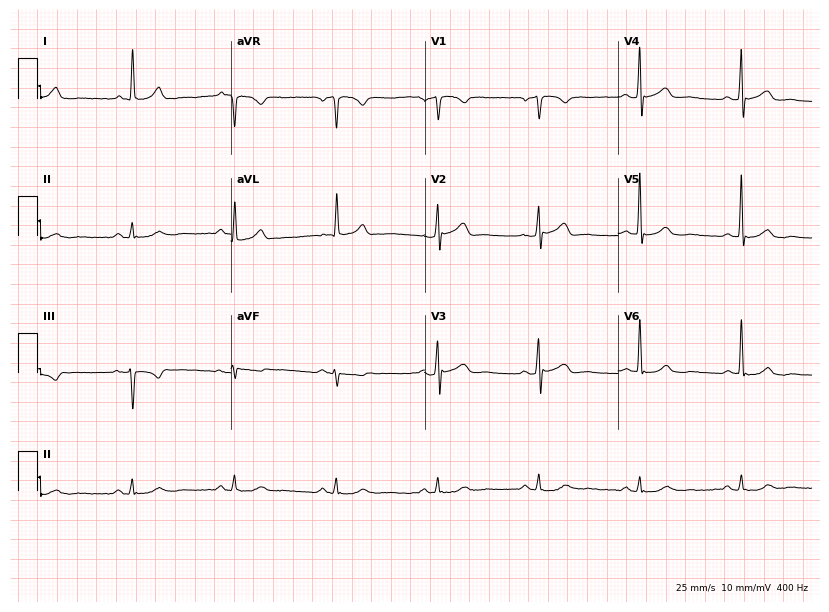
12-lead ECG from a male, 68 years old. Screened for six findings — first-degree AV block, right bundle branch block, left bundle branch block, sinus bradycardia, atrial fibrillation, sinus tachycardia — none is recorded.